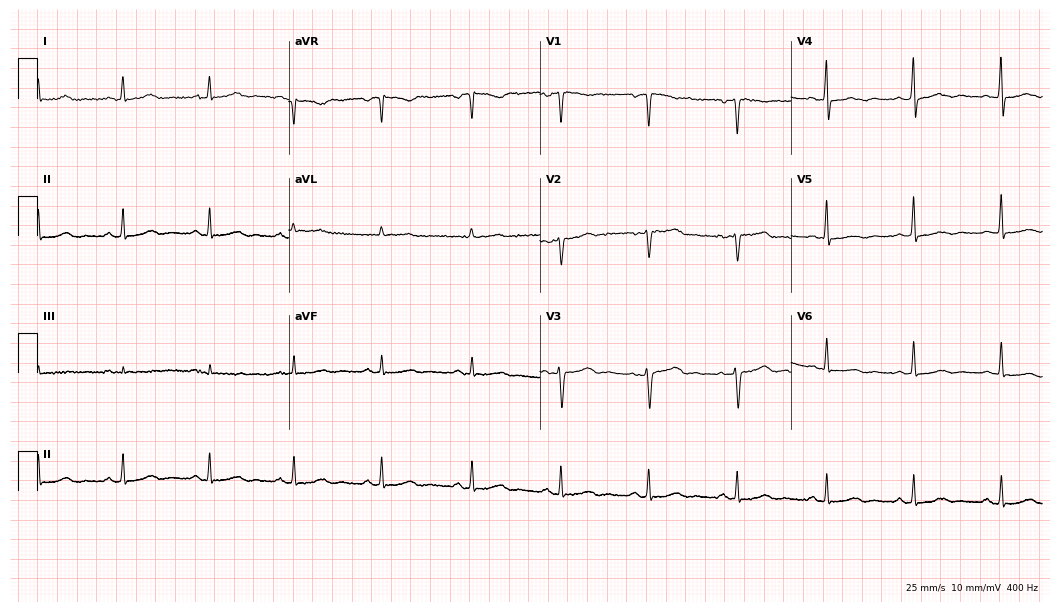
12-lead ECG from a woman, 51 years old. Screened for six findings — first-degree AV block, right bundle branch block, left bundle branch block, sinus bradycardia, atrial fibrillation, sinus tachycardia — none is recorded. Only these six findings were labelled.